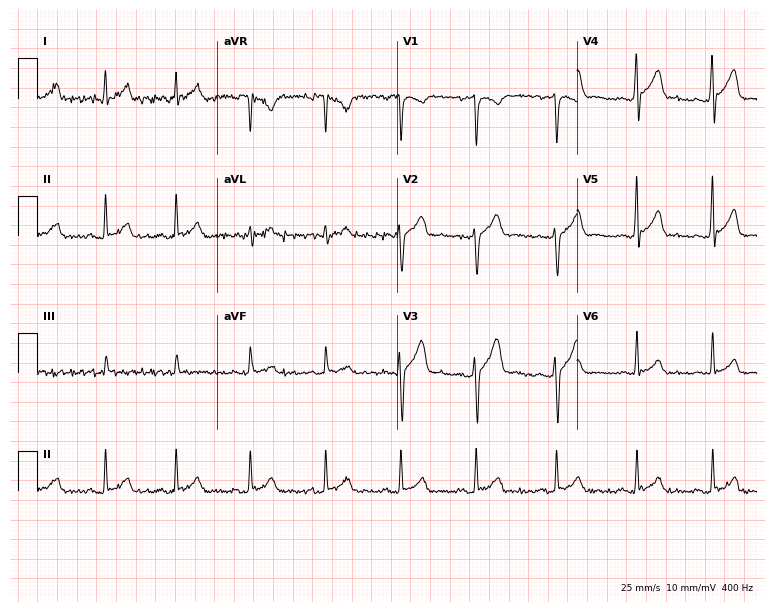
12-lead ECG from a male patient, 25 years old (7.3-second recording at 400 Hz). Recorded interpretation: within normal limits.